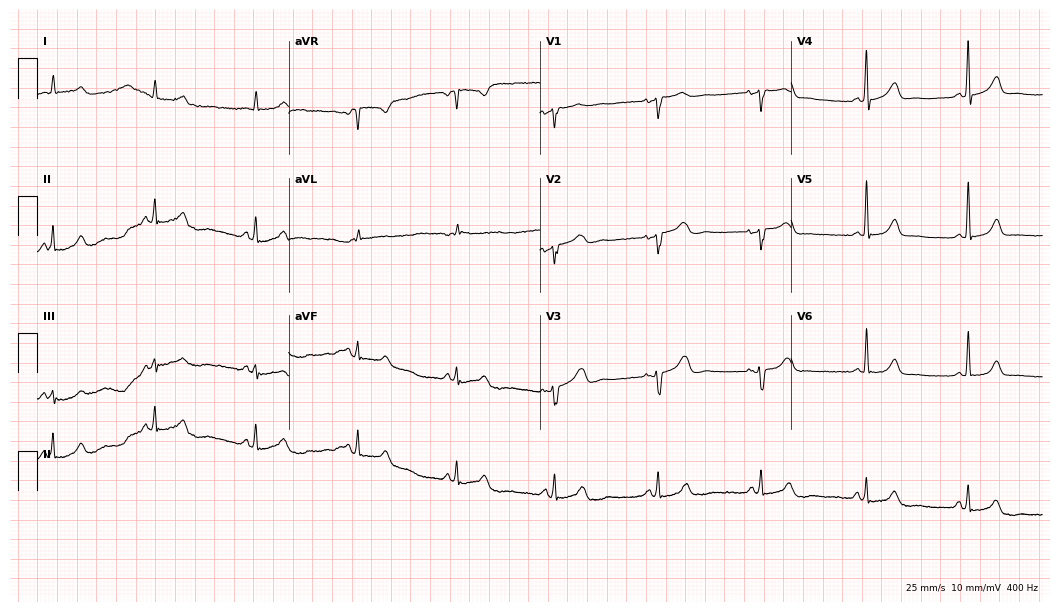
Standard 12-lead ECG recorded from an 83-year-old woman (10.2-second recording at 400 Hz). Read as a normal ECG.